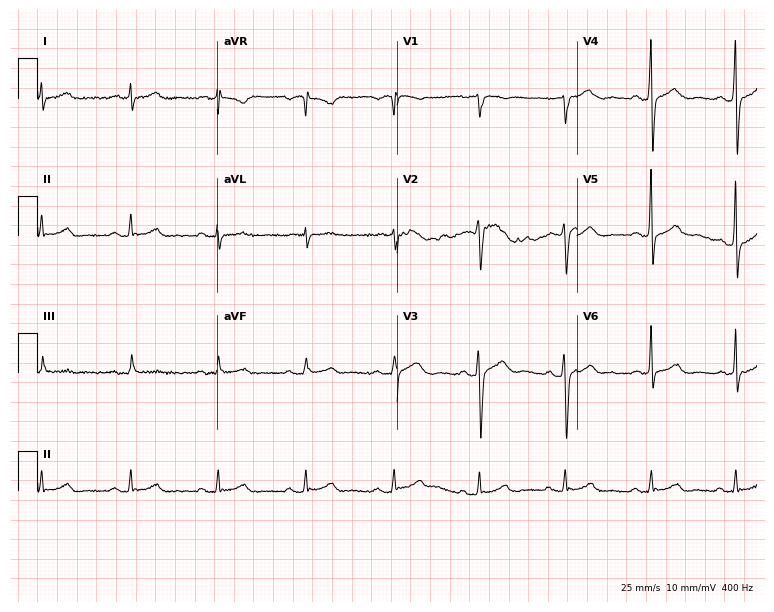
12-lead ECG from a male, 70 years old. Labelled as a normal ECG.